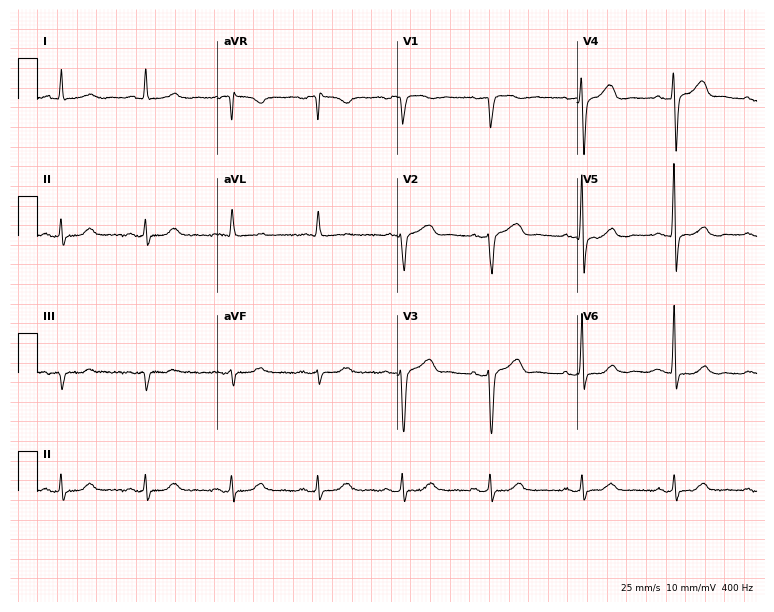
12-lead ECG (7.3-second recording at 400 Hz) from a 52-year-old female. Screened for six findings — first-degree AV block, right bundle branch block, left bundle branch block, sinus bradycardia, atrial fibrillation, sinus tachycardia — none is recorded. Only these six findings were labelled.